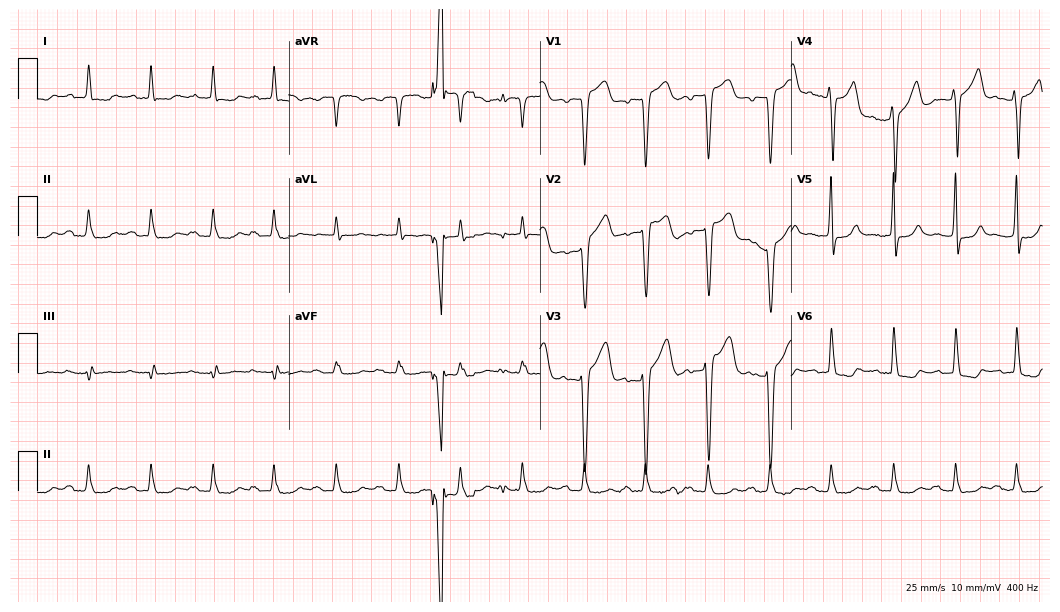
12-lead ECG (10.2-second recording at 400 Hz) from a 65-year-old male. Screened for six findings — first-degree AV block, right bundle branch block (RBBB), left bundle branch block (LBBB), sinus bradycardia, atrial fibrillation (AF), sinus tachycardia — none is recorded.